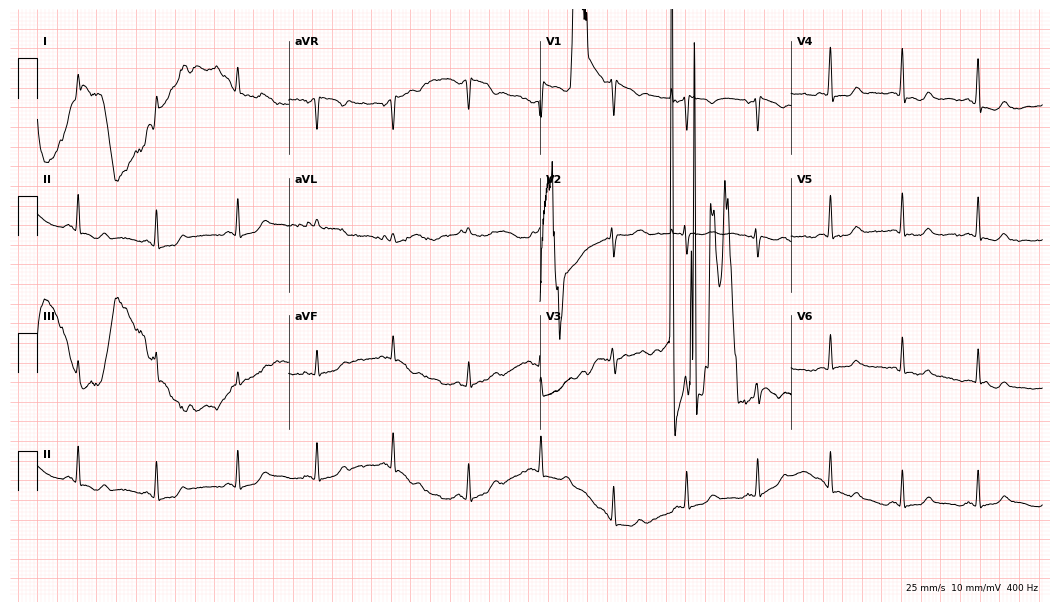
ECG — a 46-year-old woman. Screened for six findings — first-degree AV block, right bundle branch block, left bundle branch block, sinus bradycardia, atrial fibrillation, sinus tachycardia — none is recorded.